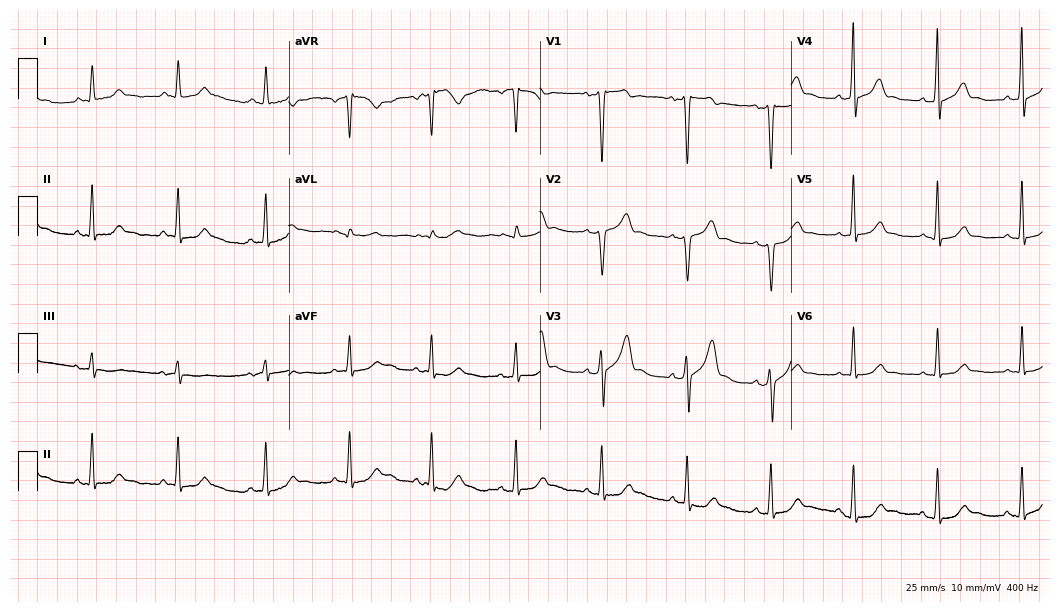
ECG — a male, 44 years old. Labelled as a normal ECG.